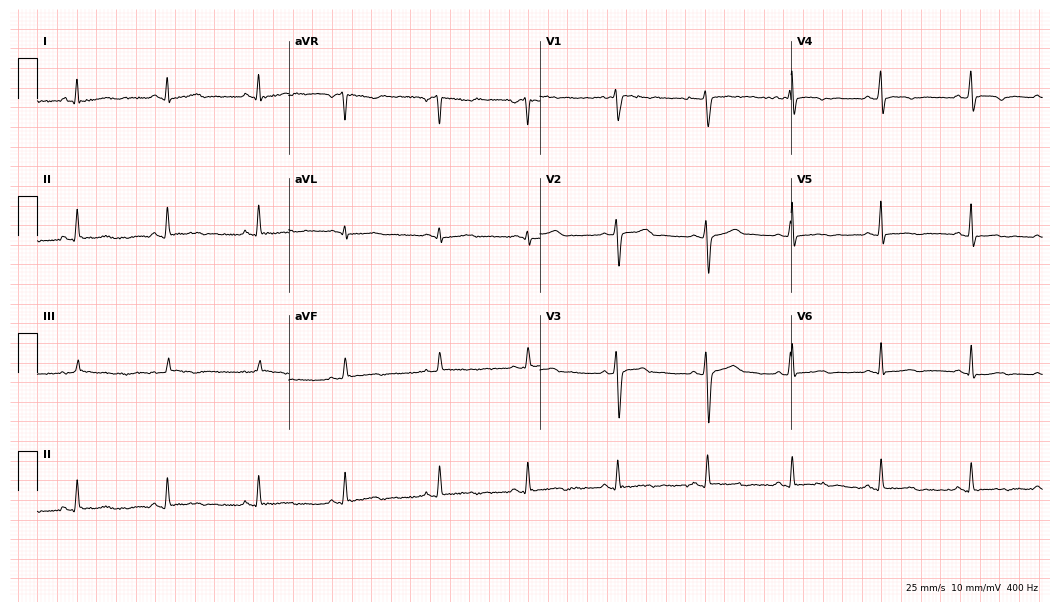
Electrocardiogram, a woman, 31 years old. Overall reading on record: normal ECG.